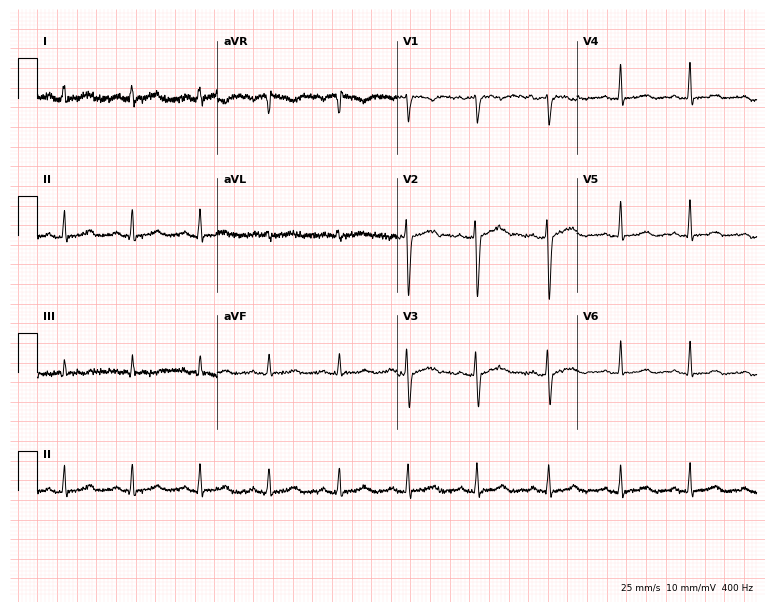
Electrocardiogram, a woman, 36 years old. Overall reading on record: normal ECG.